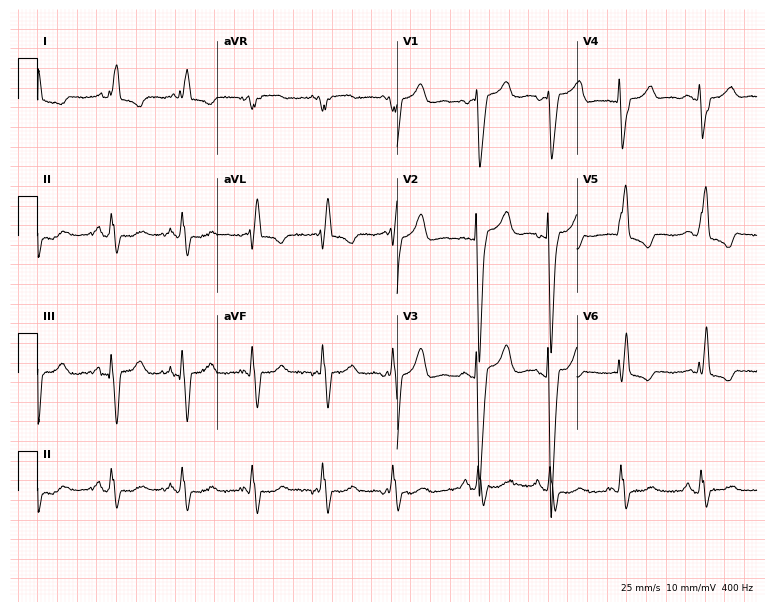
Electrocardiogram (7.3-second recording at 400 Hz), an 82-year-old female. Of the six screened findings (first-degree AV block, right bundle branch block, left bundle branch block, sinus bradycardia, atrial fibrillation, sinus tachycardia), none is recorded.